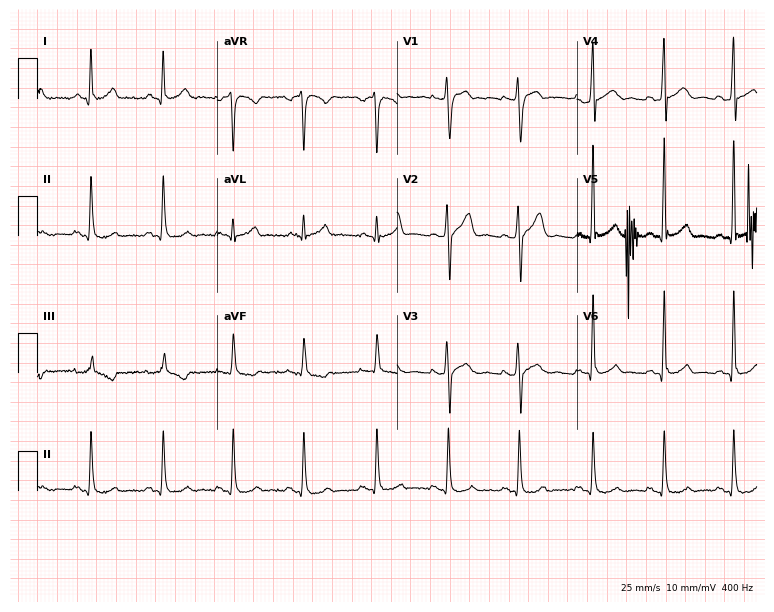
12-lead ECG from a male, 52 years old. Labelled as a normal ECG.